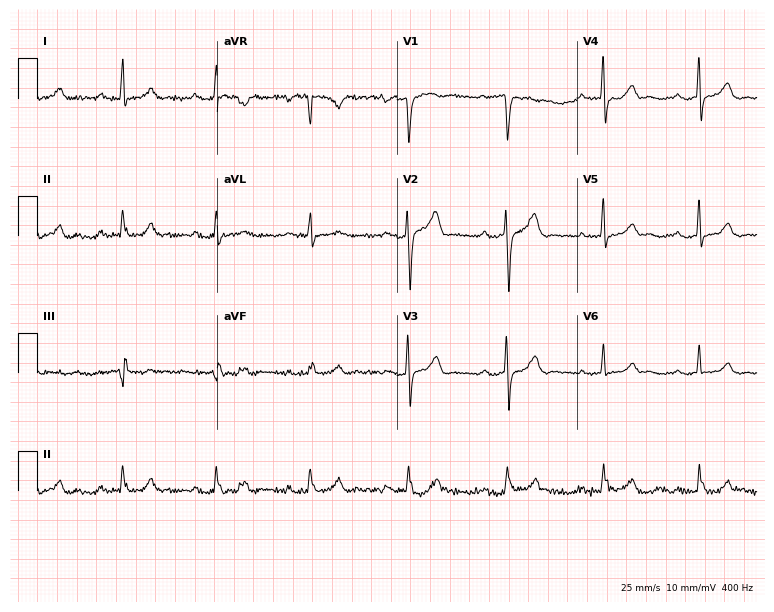
Electrocardiogram, a man, 46 years old. Overall reading on record: normal ECG.